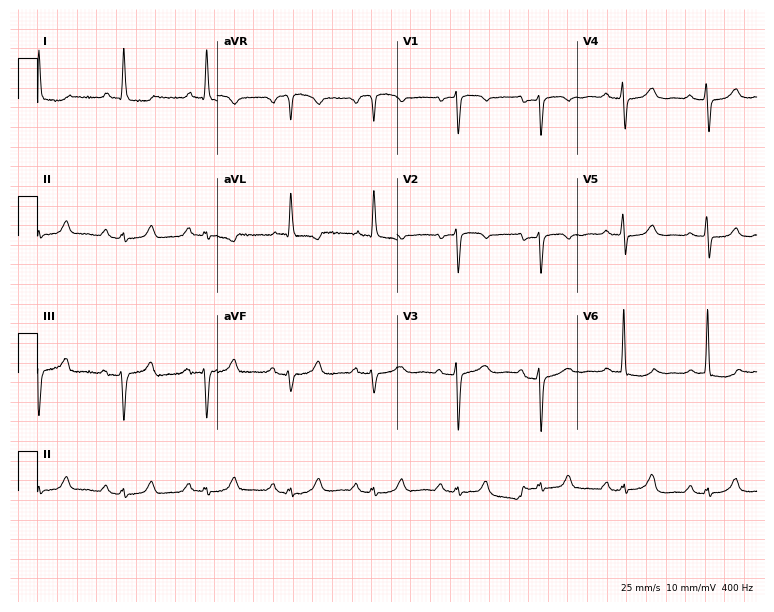
ECG (7.3-second recording at 400 Hz) — an 80-year-old woman. Screened for six findings — first-degree AV block, right bundle branch block, left bundle branch block, sinus bradycardia, atrial fibrillation, sinus tachycardia — none is recorded.